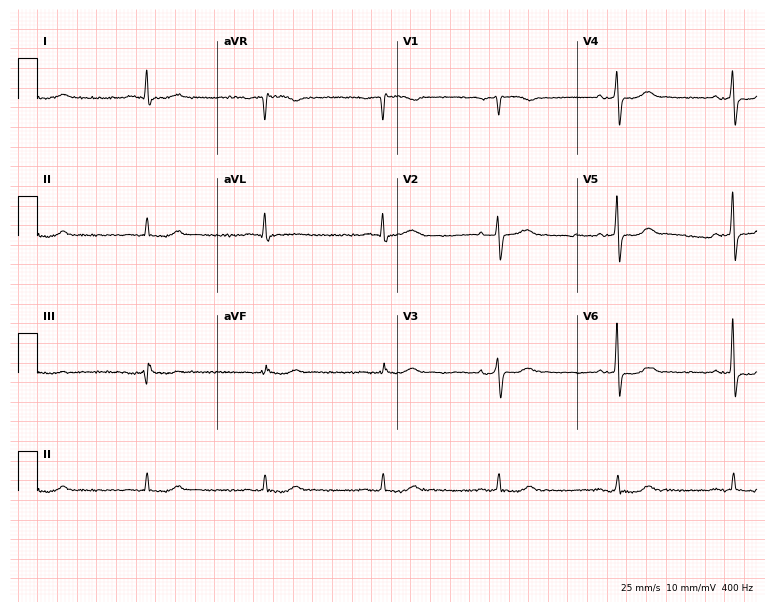
Resting 12-lead electrocardiogram. Patient: a male, 69 years old. None of these six findings is recorded: first-degree AV block, right bundle branch block, left bundle branch block, sinus bradycardia, atrial fibrillation, sinus tachycardia. Only these six findings were labelled.